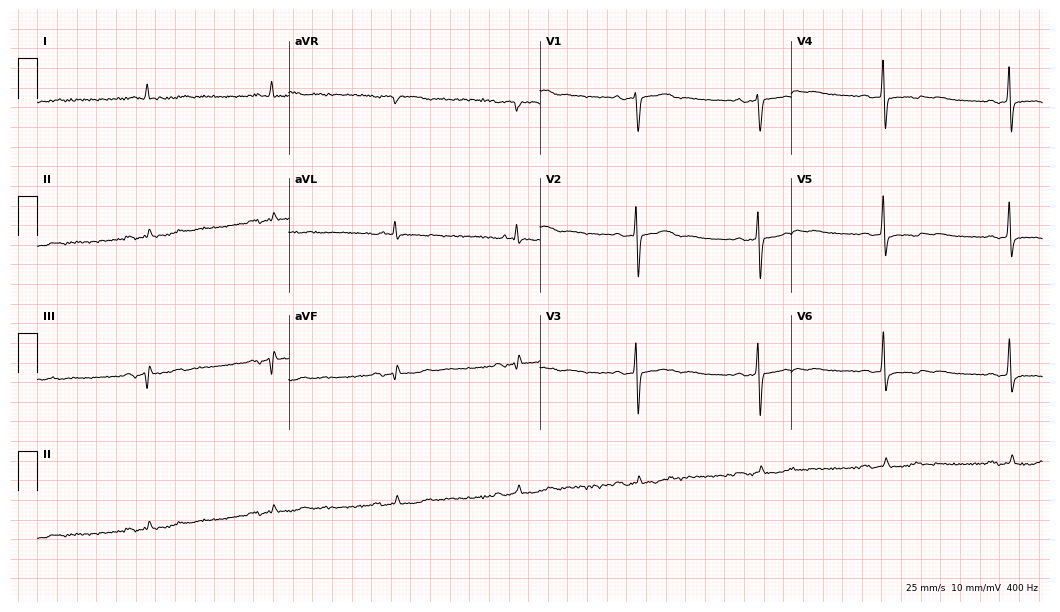
Resting 12-lead electrocardiogram. Patient: a 77-year-old male. The tracing shows sinus bradycardia (a sinus rate of 50 beats per minute or less).